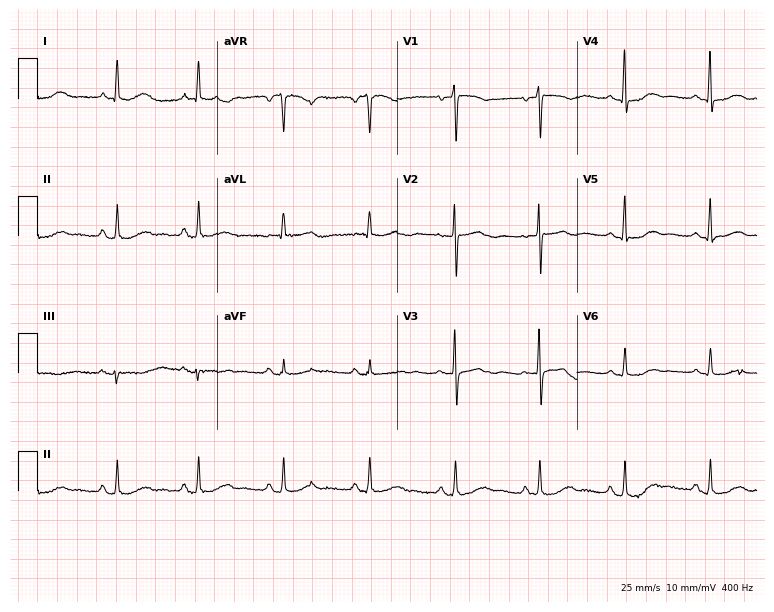
12-lead ECG from a 68-year-old female. No first-degree AV block, right bundle branch block, left bundle branch block, sinus bradycardia, atrial fibrillation or sinus tachycardia recorded for this tracing. Only these six findings were labelled.